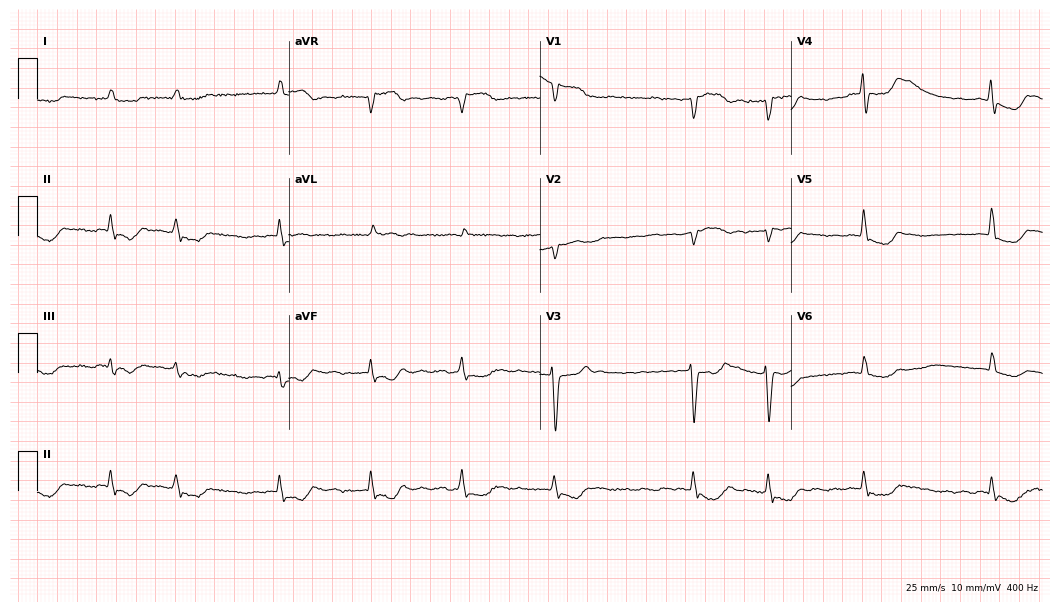
Resting 12-lead electrocardiogram. Patient: a 60-year-old male. The tracing shows atrial fibrillation.